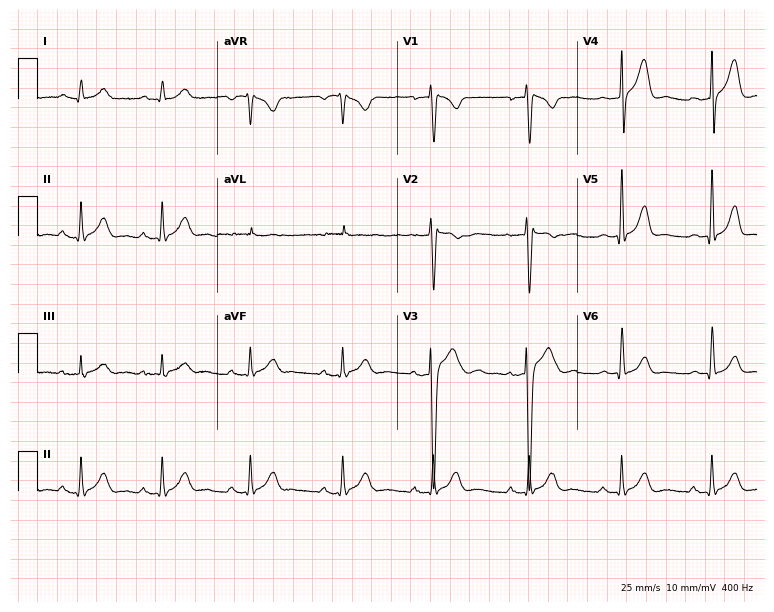
12-lead ECG (7.3-second recording at 400 Hz) from a 24-year-old man. Labelled as a normal ECG.